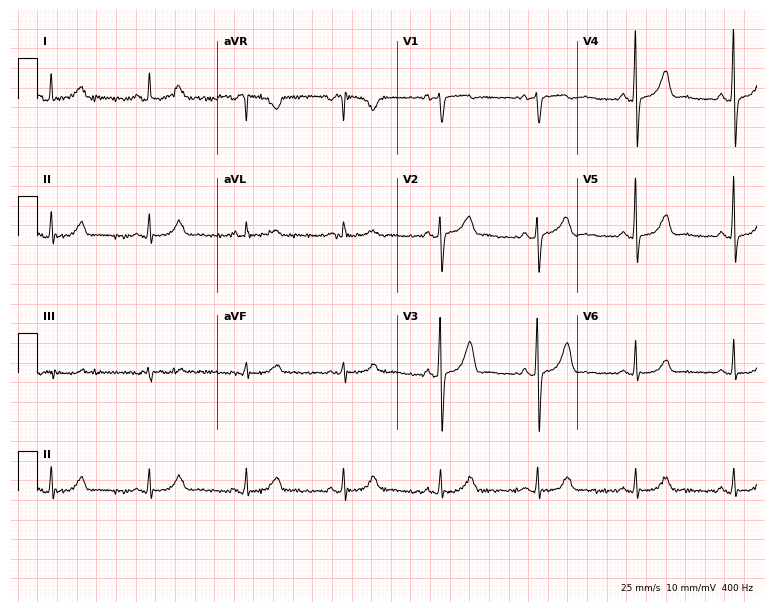
Electrocardiogram (7.3-second recording at 400 Hz), a female patient, 77 years old. Overall reading on record: normal ECG.